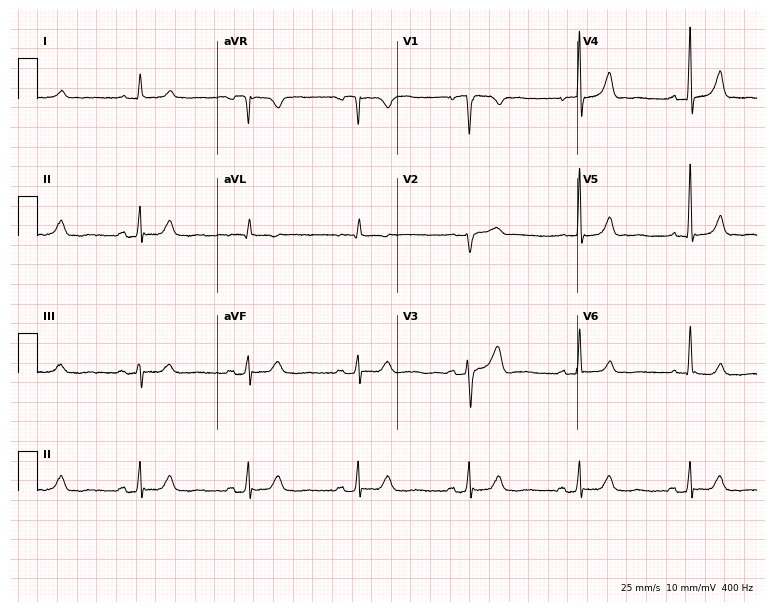
12-lead ECG from a 76-year-old male (7.3-second recording at 400 Hz). Recorded interpretation: within normal limits.